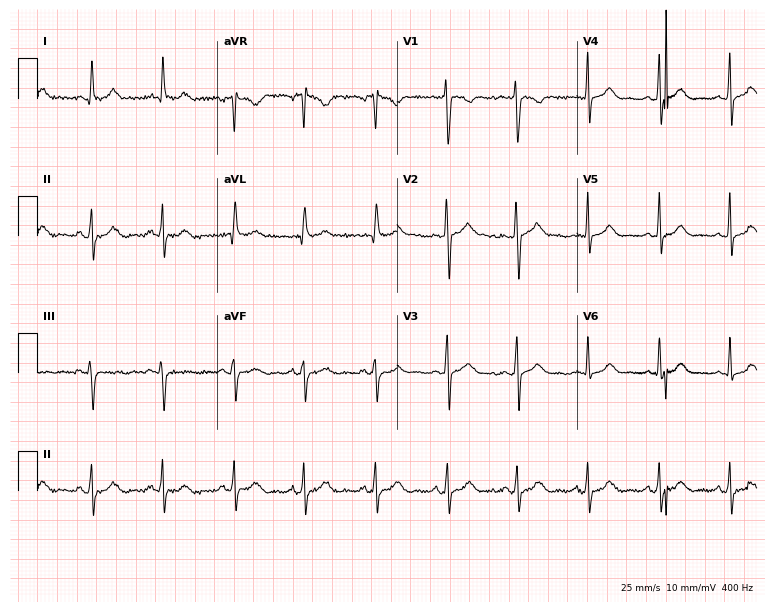
Electrocardiogram, a woman, 30 years old. Overall reading on record: normal ECG.